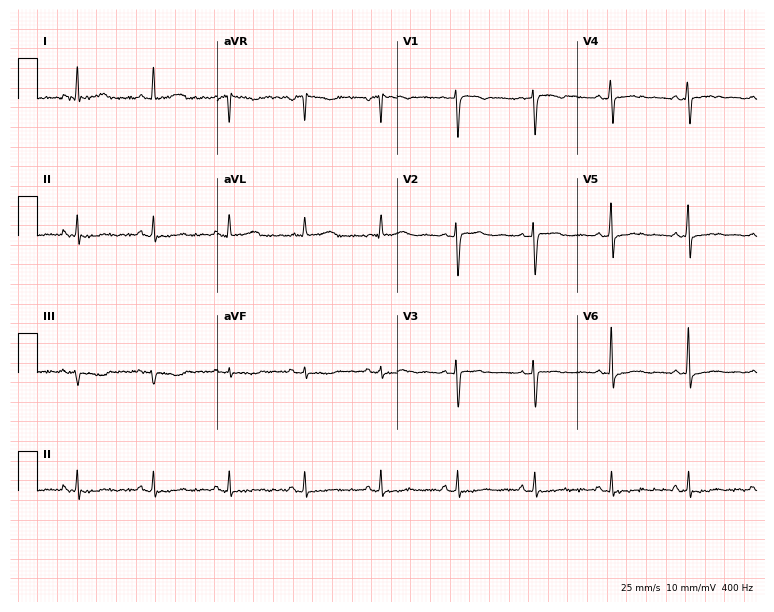
12-lead ECG (7.3-second recording at 400 Hz) from a female, 41 years old. Screened for six findings — first-degree AV block, right bundle branch block, left bundle branch block, sinus bradycardia, atrial fibrillation, sinus tachycardia — none is recorded. Other findings, if any, are not listed.